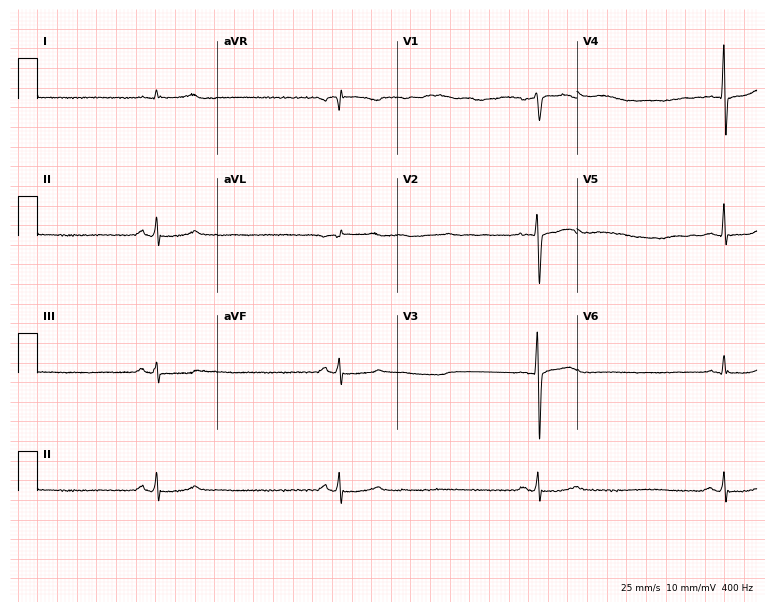
12-lead ECG from a 58-year-old male patient. No first-degree AV block, right bundle branch block, left bundle branch block, sinus bradycardia, atrial fibrillation or sinus tachycardia recorded for this tracing. Findings outside these six are not listed.